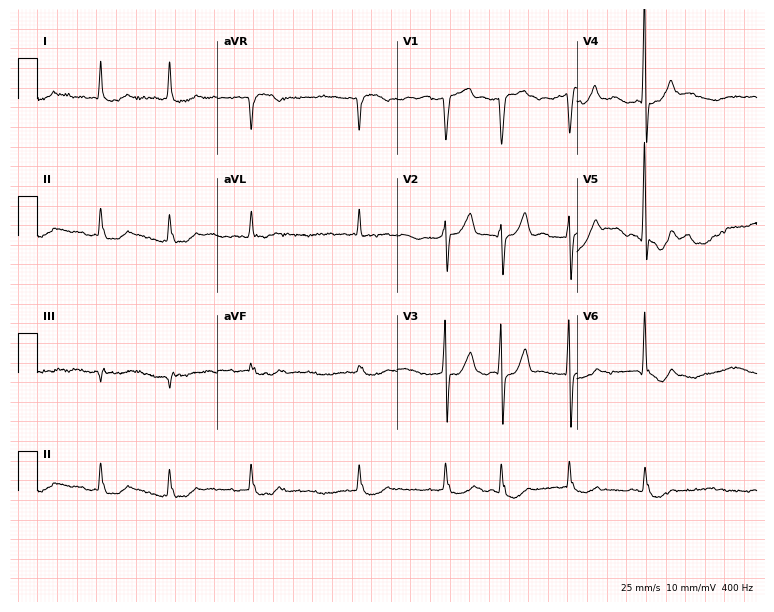
12-lead ECG from a man, 76 years old. No first-degree AV block, right bundle branch block, left bundle branch block, sinus bradycardia, atrial fibrillation or sinus tachycardia recorded for this tracing. Findings outside these six are not listed.